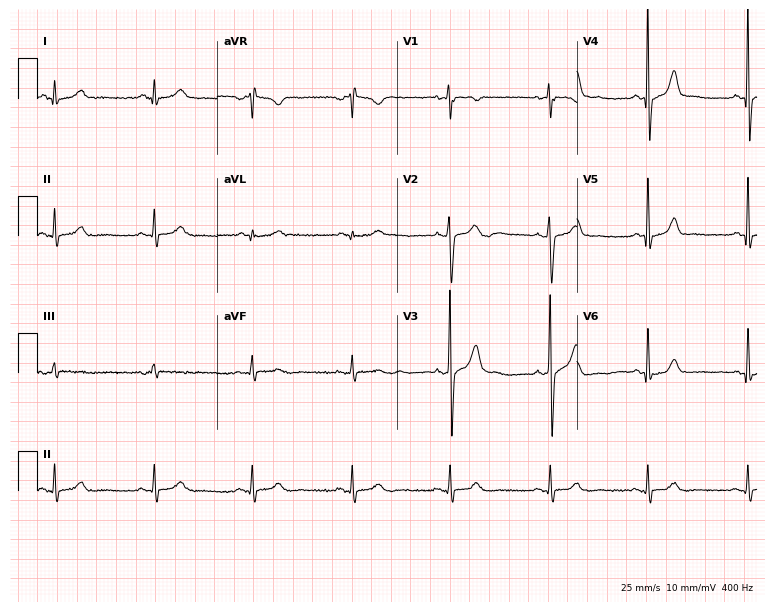
Electrocardiogram, a male, 19 years old. Overall reading on record: normal ECG.